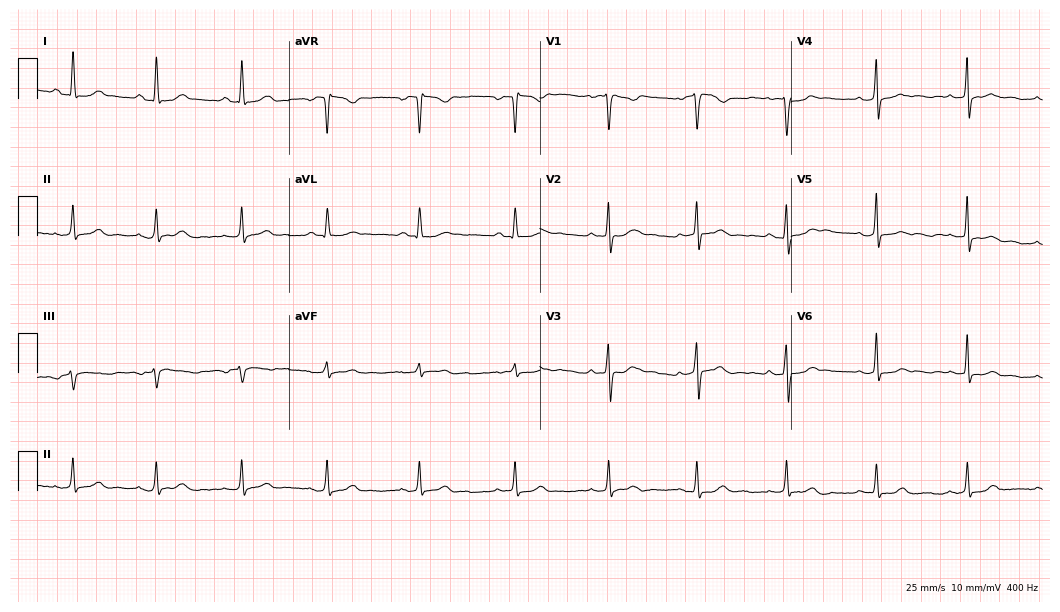
Electrocardiogram, a female patient, 29 years old. Overall reading on record: normal ECG.